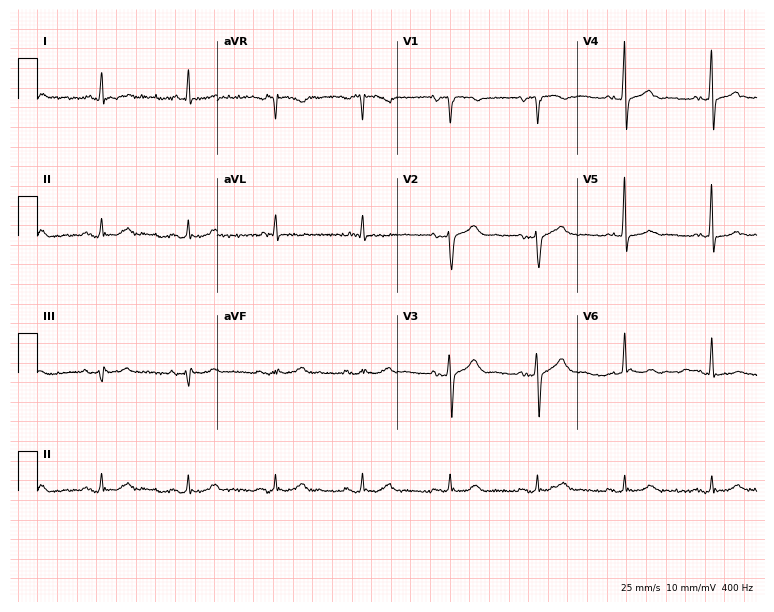
Standard 12-lead ECG recorded from a 77-year-old man (7.3-second recording at 400 Hz). Read as a normal ECG.